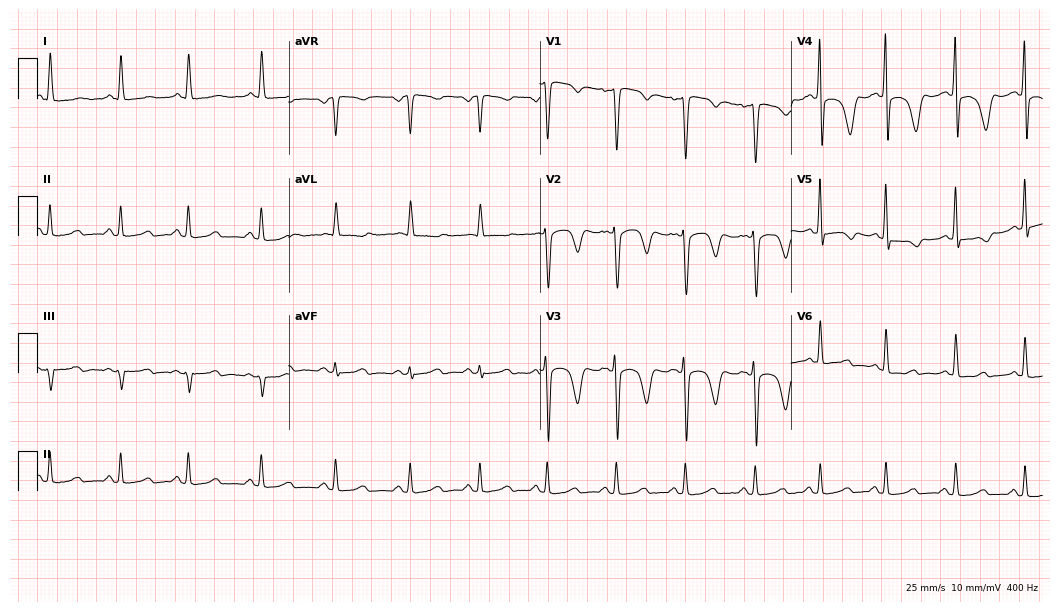
12-lead ECG from a woman, 69 years old (10.2-second recording at 400 Hz). No first-degree AV block, right bundle branch block, left bundle branch block, sinus bradycardia, atrial fibrillation or sinus tachycardia recorded for this tracing. Findings outside these six are not listed.